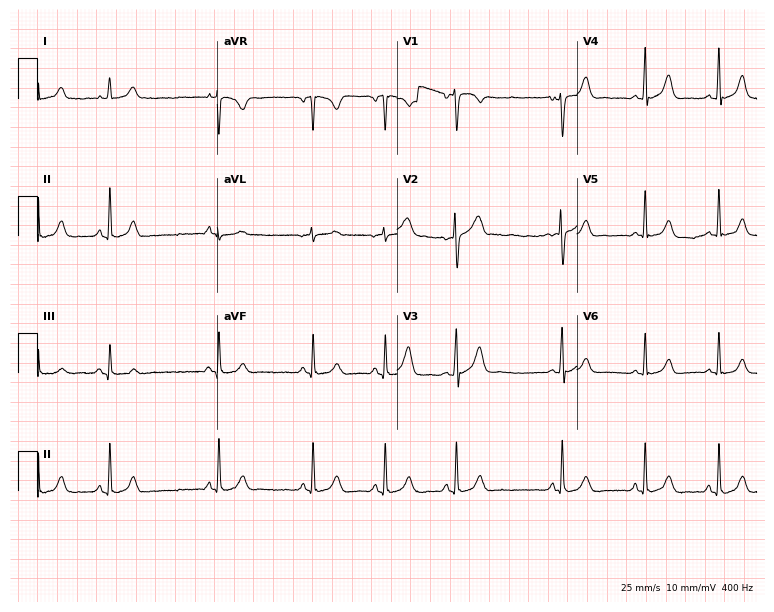
ECG (7.3-second recording at 400 Hz) — a 20-year-old female. Labelled as a normal ECG.